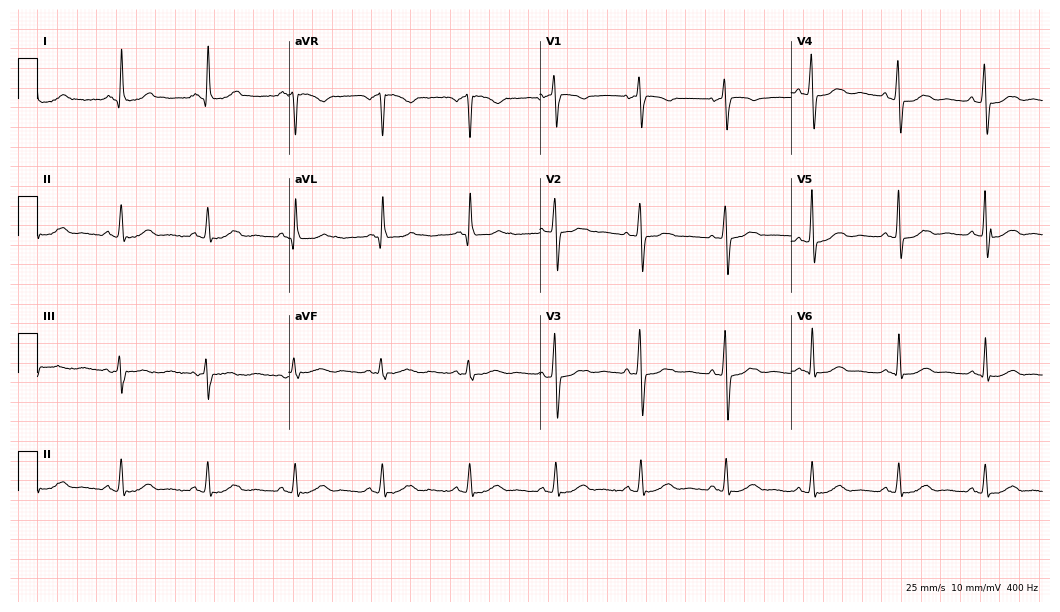
ECG (10.2-second recording at 400 Hz) — a female patient, 64 years old. Labelled as a normal ECG.